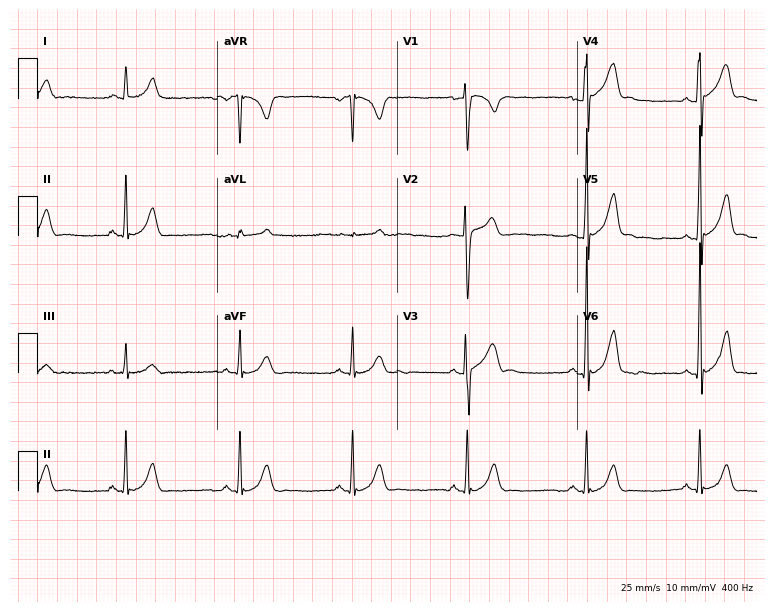
Resting 12-lead electrocardiogram. Patient: a male, 27 years old. Read as a normal ECG.